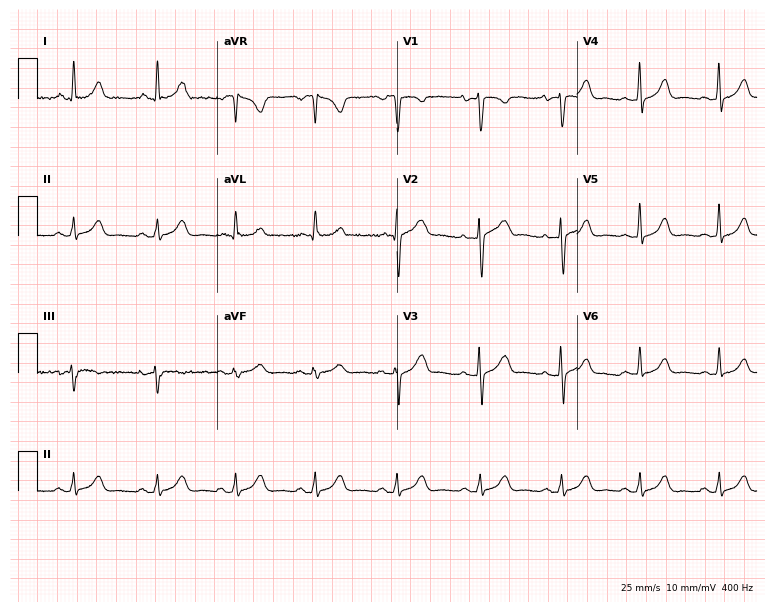
Standard 12-lead ECG recorded from a female, 31 years old (7.3-second recording at 400 Hz). Read as a normal ECG.